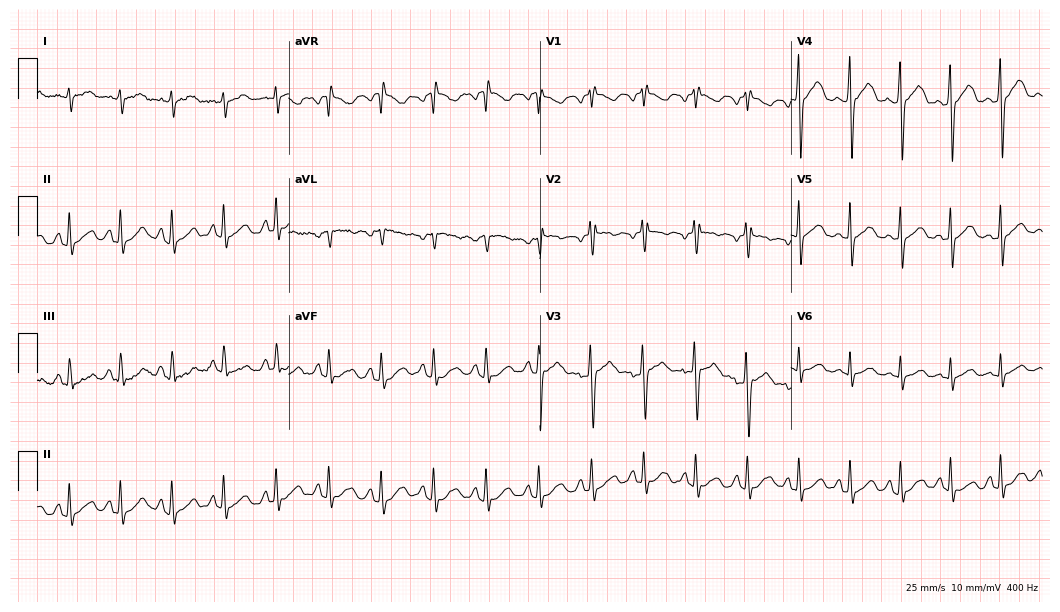
Electrocardiogram (10.2-second recording at 400 Hz), a 21-year-old male patient. Interpretation includes sinus tachycardia (a sinus rate of 100 beats per minute or more).